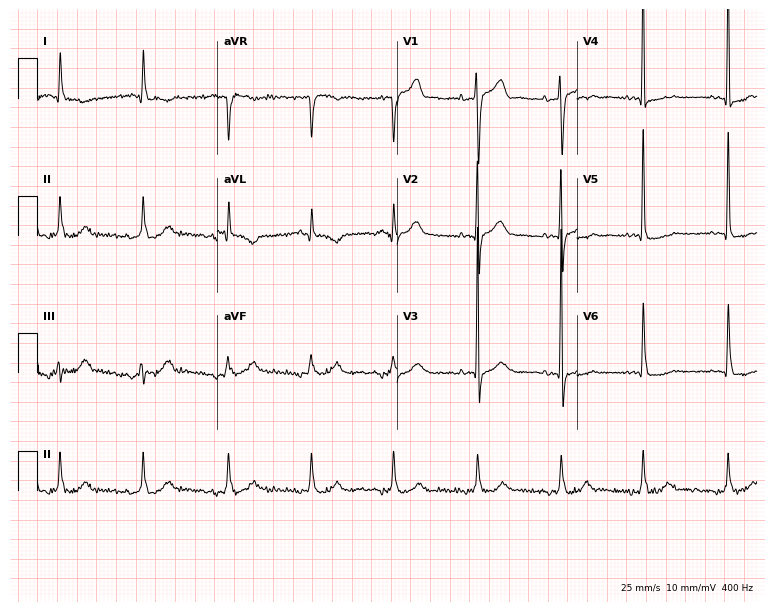
Resting 12-lead electrocardiogram (7.3-second recording at 400 Hz). Patient: a male, 71 years old. None of these six findings is recorded: first-degree AV block, right bundle branch block, left bundle branch block, sinus bradycardia, atrial fibrillation, sinus tachycardia.